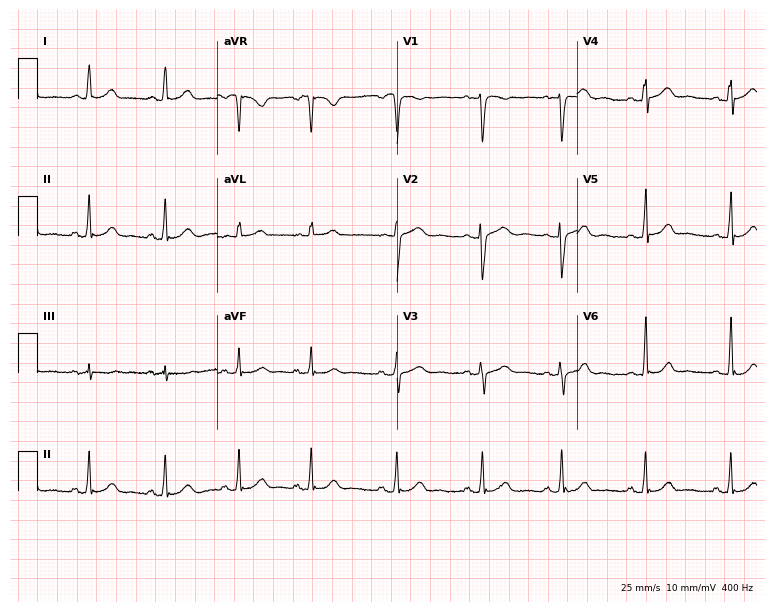
ECG — a female patient, 19 years old. Labelled as a normal ECG.